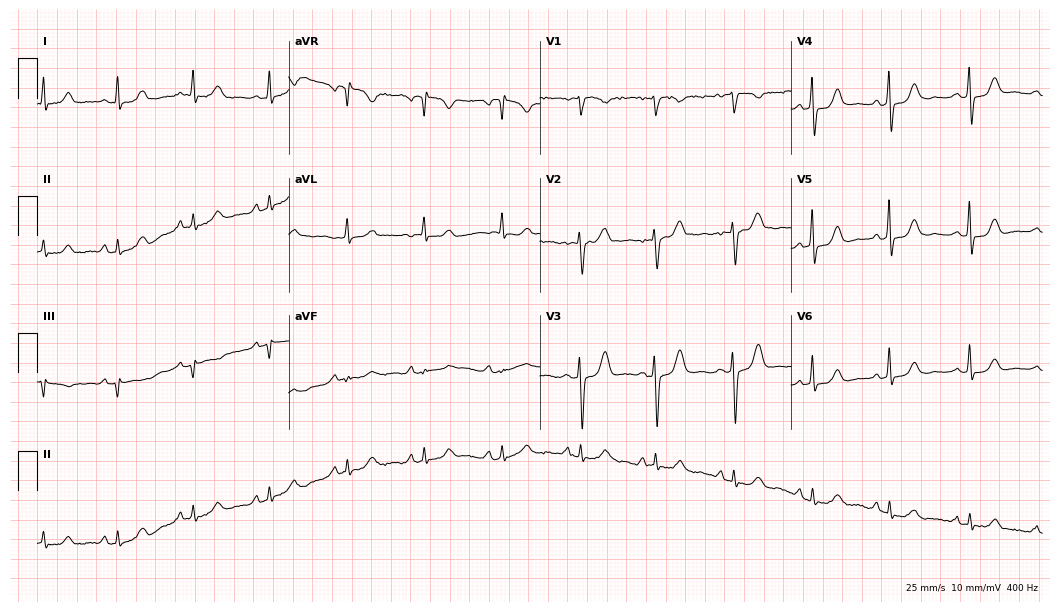
ECG — a 59-year-old female patient. Labelled as a normal ECG.